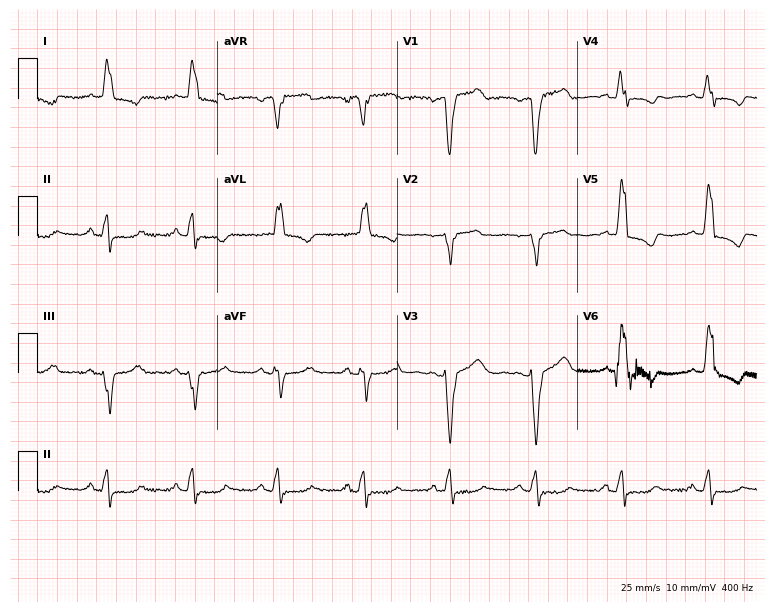
12-lead ECG from an 82-year-old woman. Shows left bundle branch block.